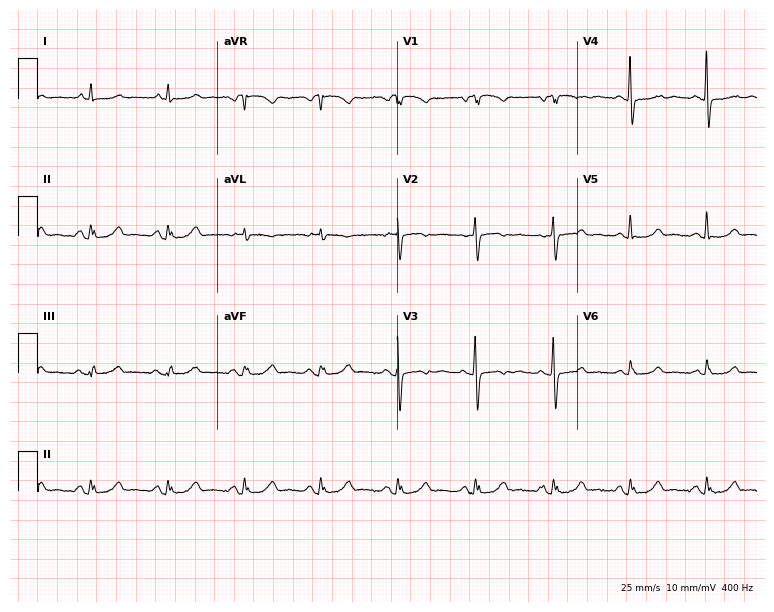
Resting 12-lead electrocardiogram (7.3-second recording at 400 Hz). Patient: a 61-year-old woman. None of these six findings is recorded: first-degree AV block, right bundle branch block (RBBB), left bundle branch block (LBBB), sinus bradycardia, atrial fibrillation (AF), sinus tachycardia. Only these six findings were labelled.